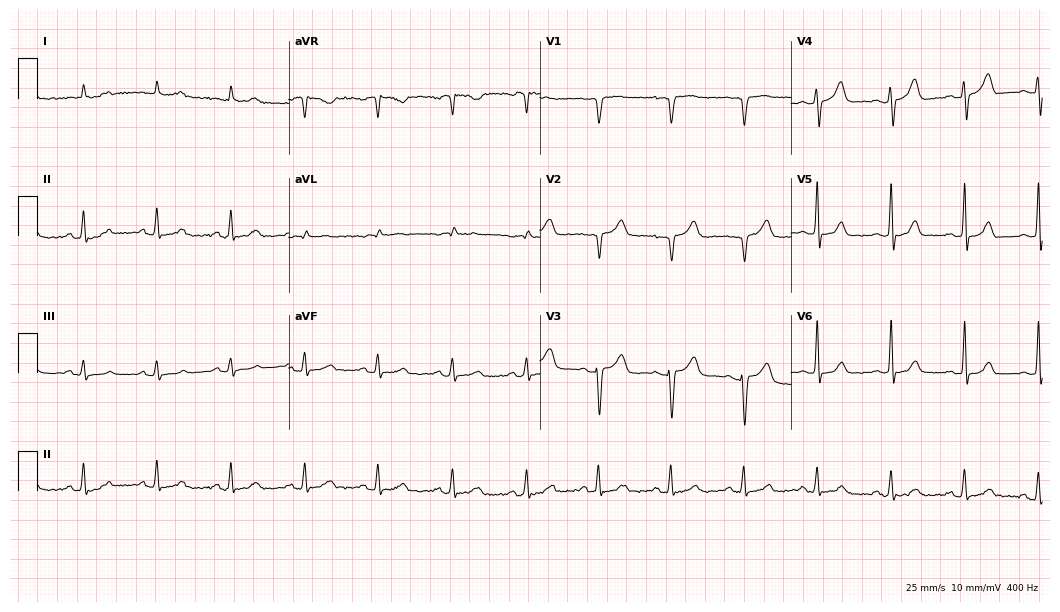
12-lead ECG from a female patient, 61 years old. Labelled as a normal ECG.